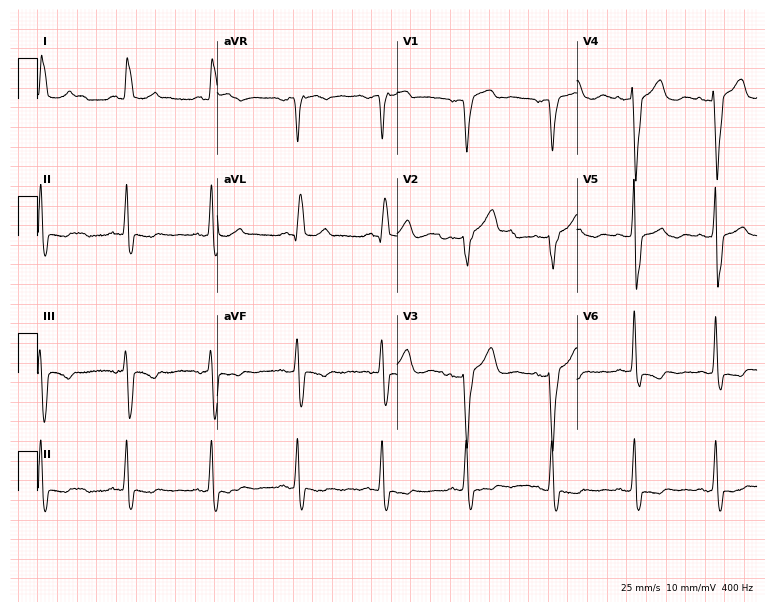
12-lead ECG from a female patient, 68 years old. Shows left bundle branch block.